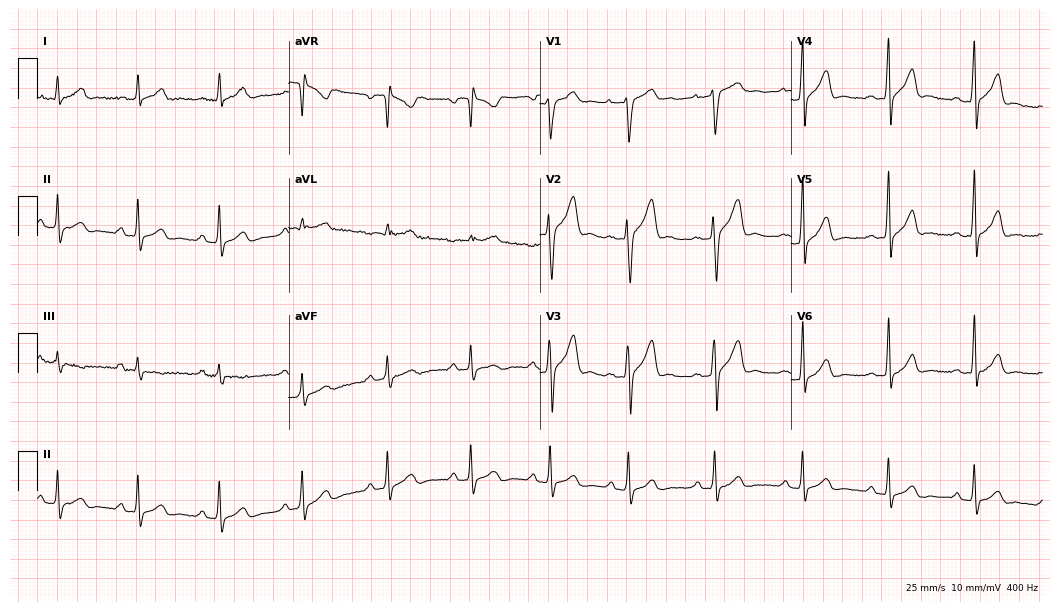
12-lead ECG from a man, 23 years old. Labelled as a normal ECG.